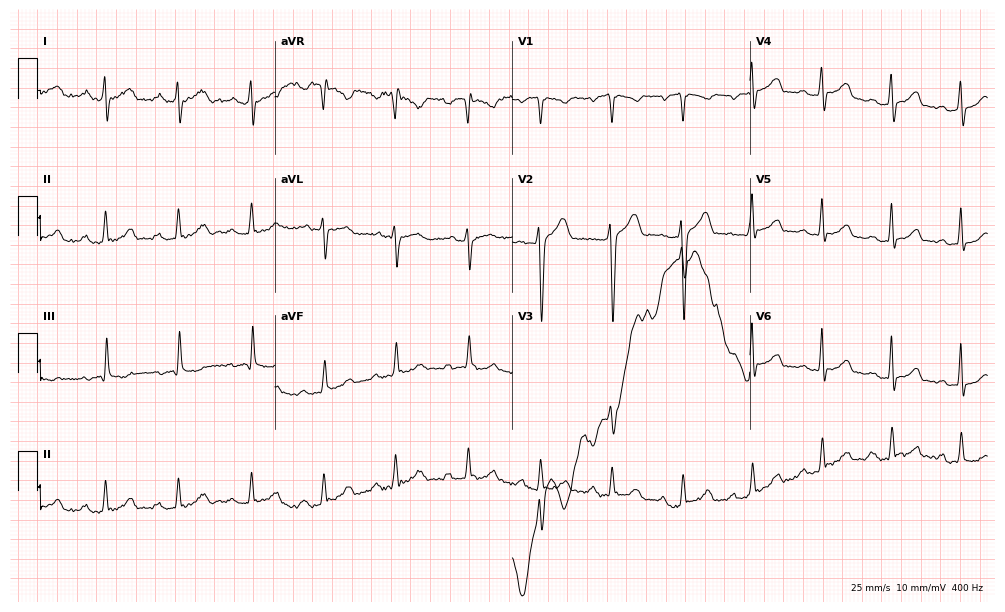
Electrocardiogram, a 26-year-old man. Of the six screened findings (first-degree AV block, right bundle branch block, left bundle branch block, sinus bradycardia, atrial fibrillation, sinus tachycardia), none is recorded.